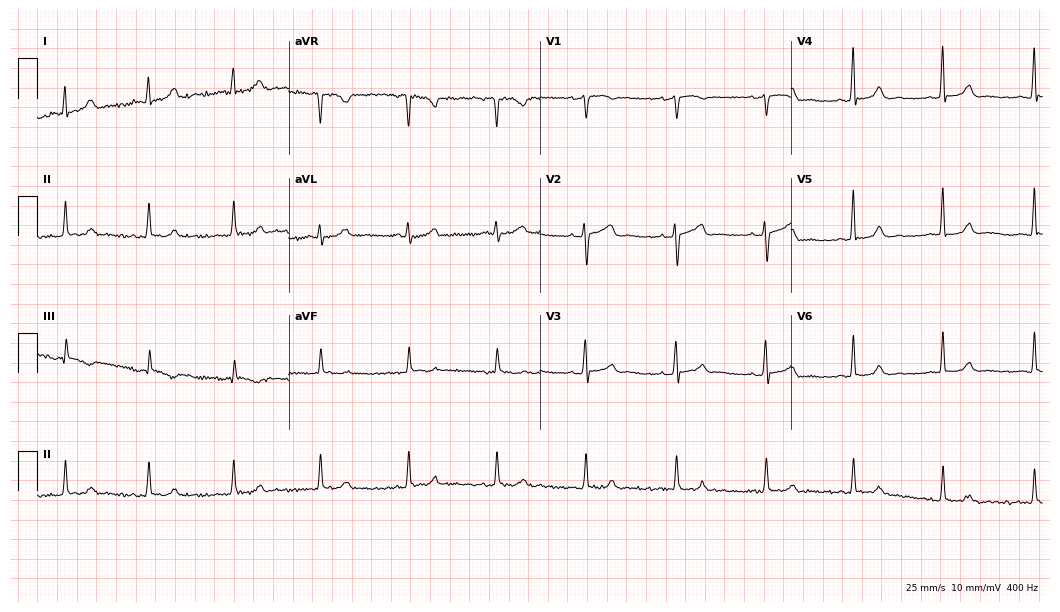
ECG — a 50-year-old female patient. Labelled as a normal ECG.